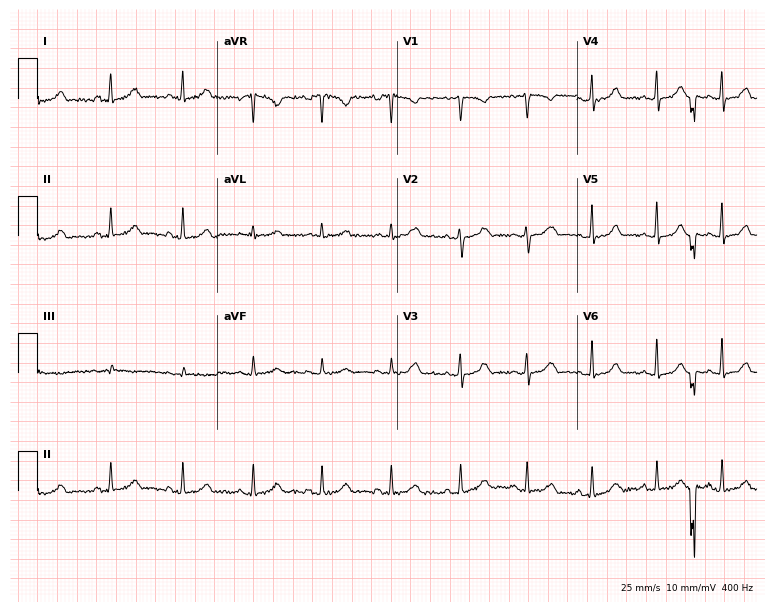
Resting 12-lead electrocardiogram (7.3-second recording at 400 Hz). Patient: a female, 37 years old. Read as a normal ECG.